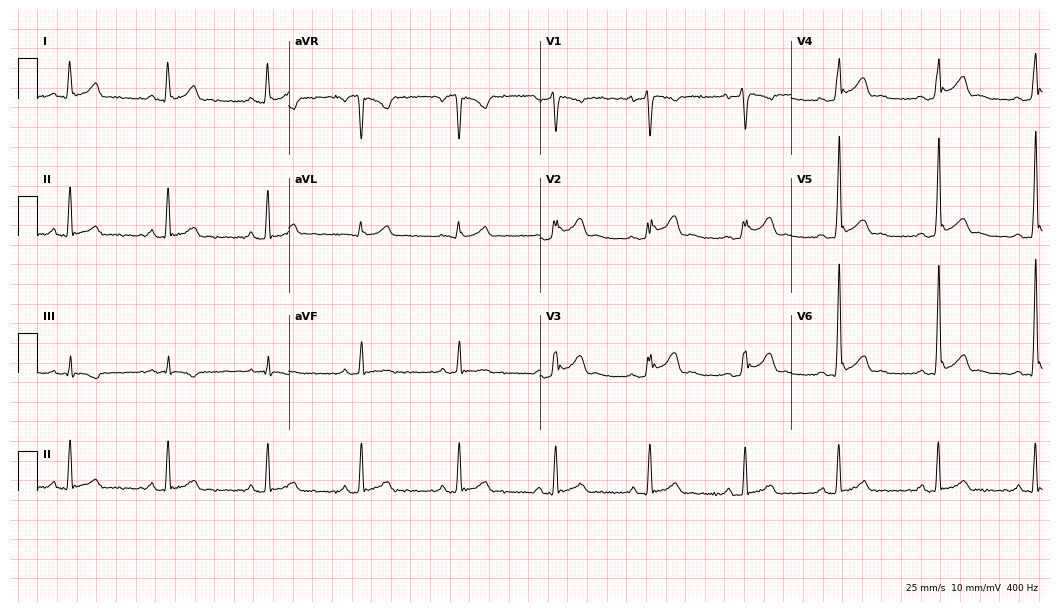
12-lead ECG from a 34-year-old male patient. Screened for six findings — first-degree AV block, right bundle branch block, left bundle branch block, sinus bradycardia, atrial fibrillation, sinus tachycardia — none is recorded.